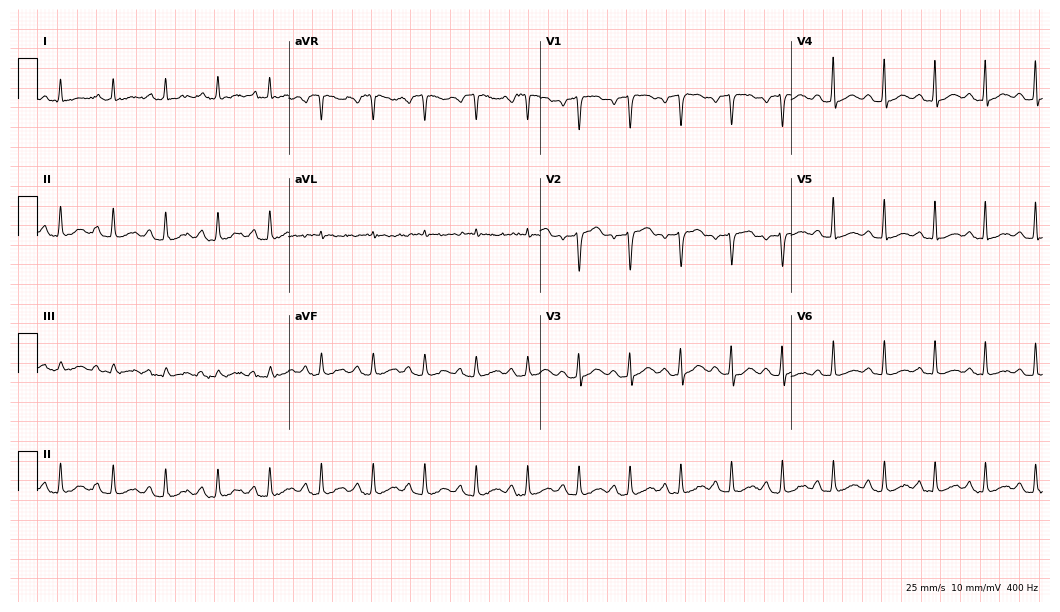
Electrocardiogram (10.2-second recording at 400 Hz), a 47-year-old woman. Interpretation includes sinus tachycardia (a sinus rate of 100 beats per minute or more).